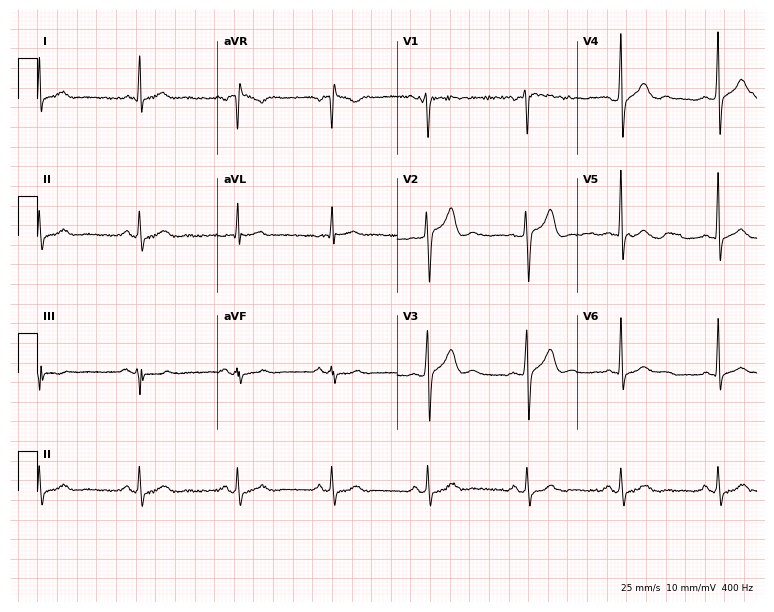
12-lead ECG from a 42-year-old man (7.3-second recording at 400 Hz). No first-degree AV block, right bundle branch block (RBBB), left bundle branch block (LBBB), sinus bradycardia, atrial fibrillation (AF) or sinus tachycardia recorded for this tracing.